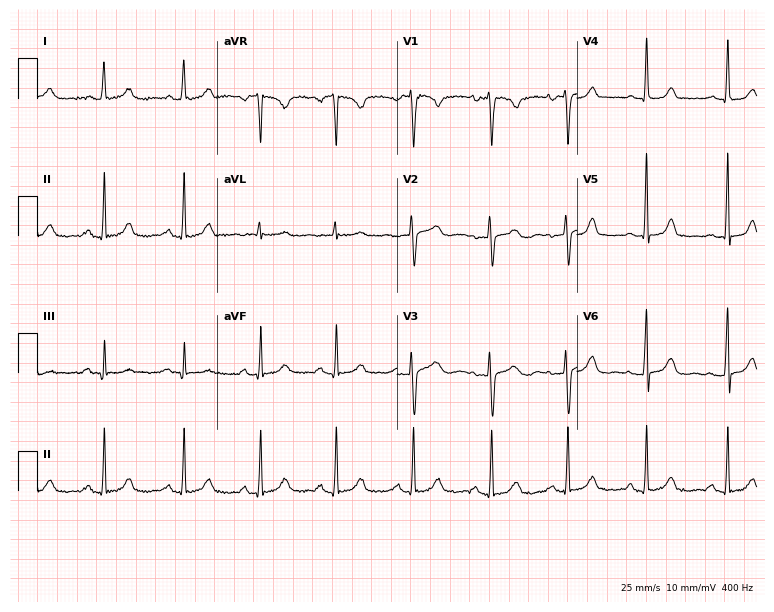
ECG — a 25-year-old woman. Labelled as a normal ECG.